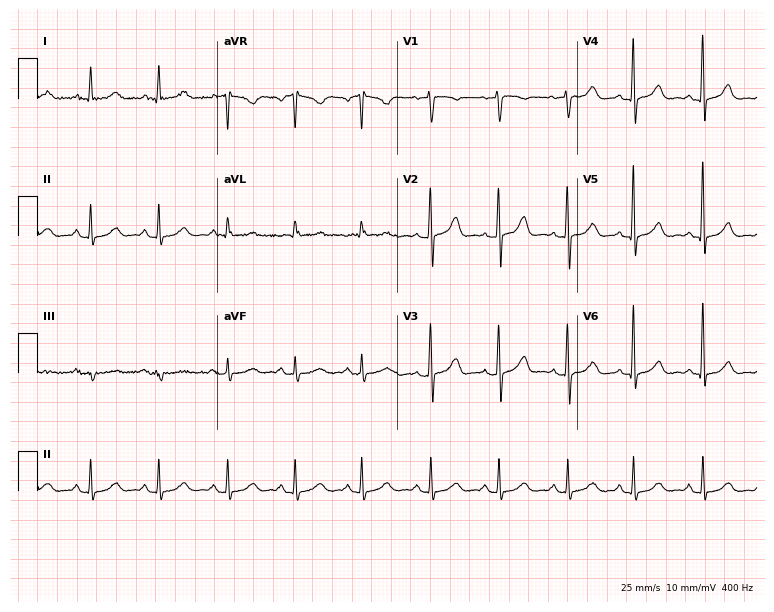
Standard 12-lead ECG recorded from a 67-year-old man (7.3-second recording at 400 Hz). None of these six findings is recorded: first-degree AV block, right bundle branch block, left bundle branch block, sinus bradycardia, atrial fibrillation, sinus tachycardia. Findings outside these six are not listed.